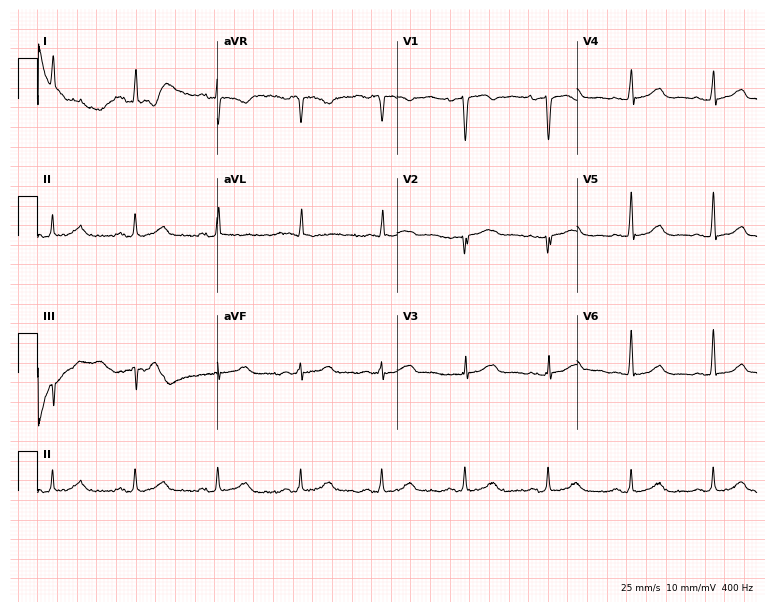
Resting 12-lead electrocardiogram (7.3-second recording at 400 Hz). Patient: a woman, 83 years old. None of these six findings is recorded: first-degree AV block, right bundle branch block, left bundle branch block, sinus bradycardia, atrial fibrillation, sinus tachycardia. Findings outside these six are not listed.